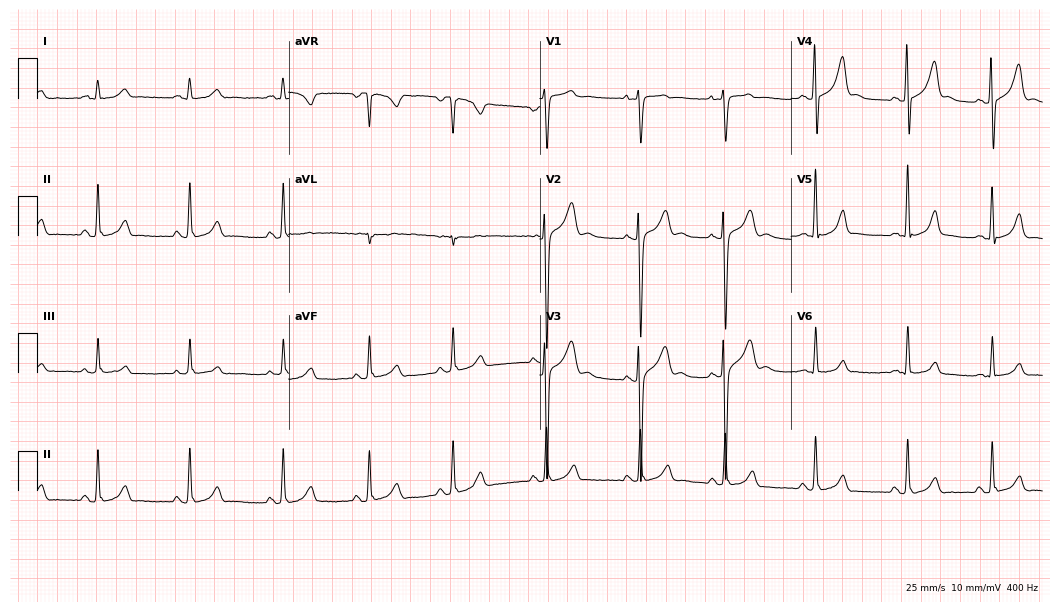
Resting 12-lead electrocardiogram (10.2-second recording at 400 Hz). Patient: a 19-year-old male. Read as a normal ECG.